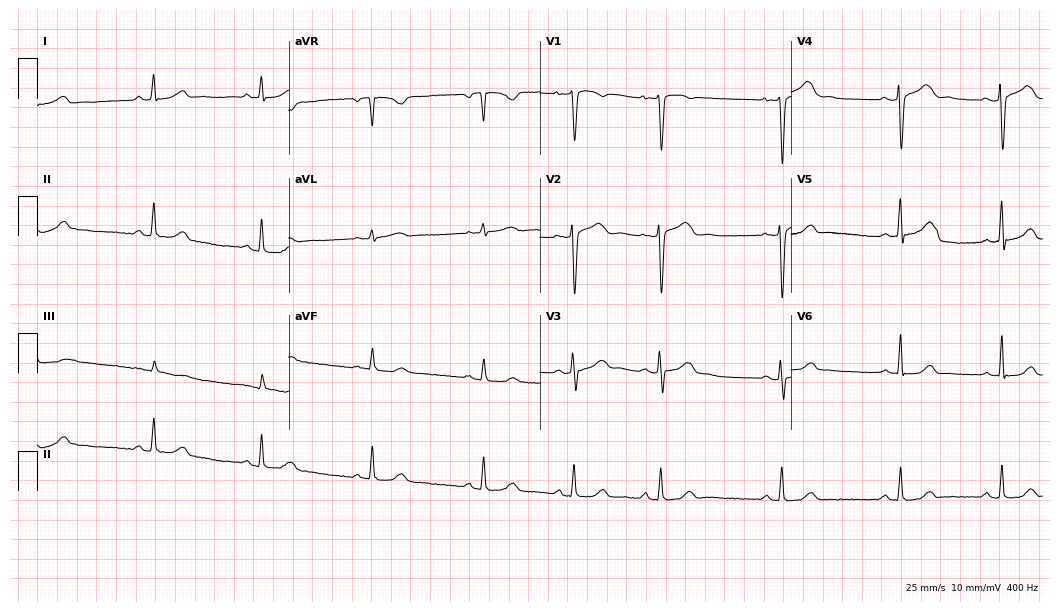
Resting 12-lead electrocardiogram. Patient: a 36-year-old woman. Read as a normal ECG.